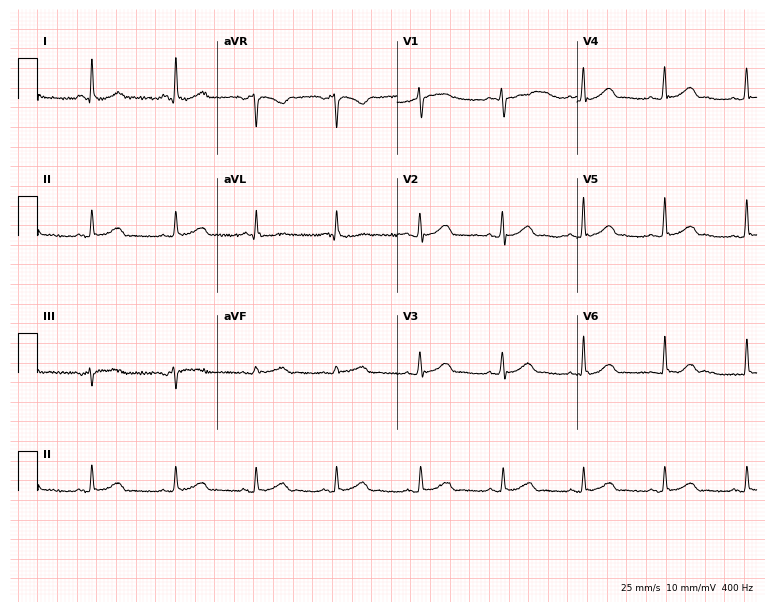
Resting 12-lead electrocardiogram (7.3-second recording at 400 Hz). Patient: a woman, 57 years old. Read as a normal ECG.